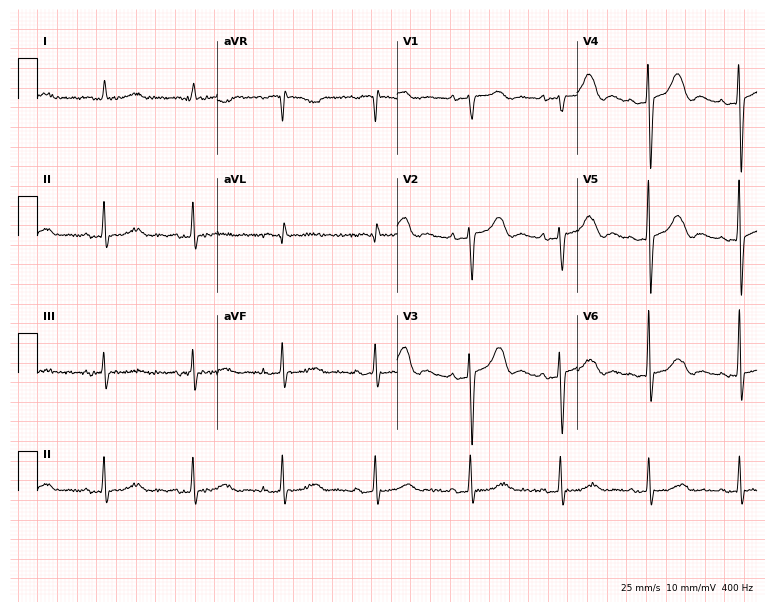
12-lead ECG from a 70-year-old female patient (7.3-second recording at 400 Hz). Recorded interpretation: within normal limits.